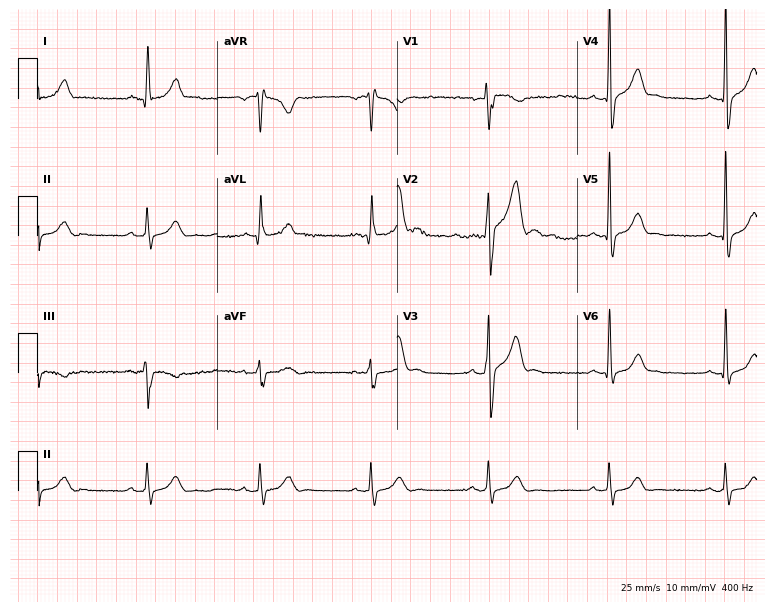
Electrocardiogram, a 38-year-old man. Overall reading on record: normal ECG.